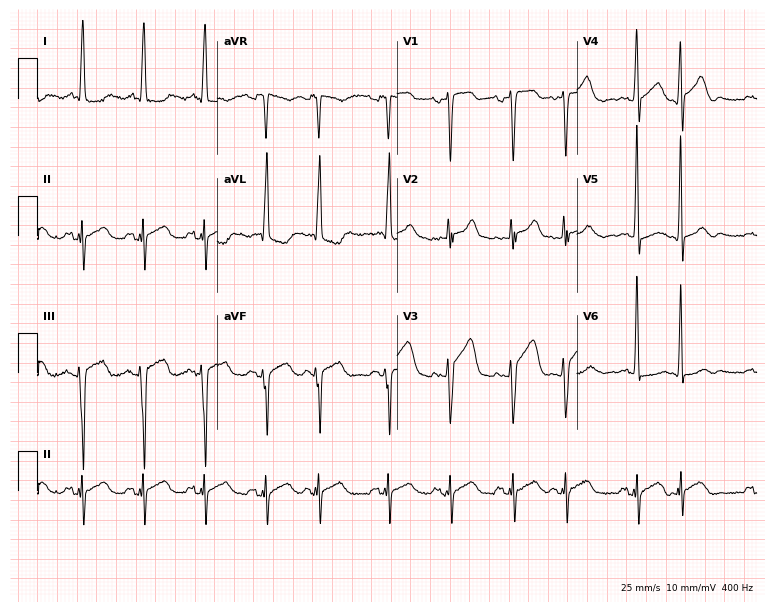
Resting 12-lead electrocardiogram. Patient: a 68-year-old female. None of these six findings is recorded: first-degree AV block, right bundle branch block, left bundle branch block, sinus bradycardia, atrial fibrillation, sinus tachycardia.